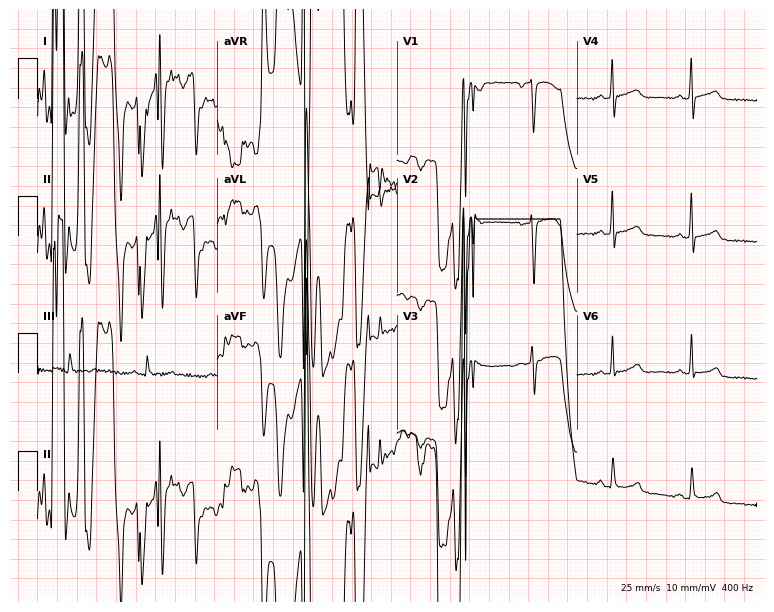
12-lead ECG from a 37-year-old woman (7.3-second recording at 400 Hz). No first-degree AV block, right bundle branch block (RBBB), left bundle branch block (LBBB), sinus bradycardia, atrial fibrillation (AF) or sinus tachycardia recorded for this tracing. Only these six findings were labelled.